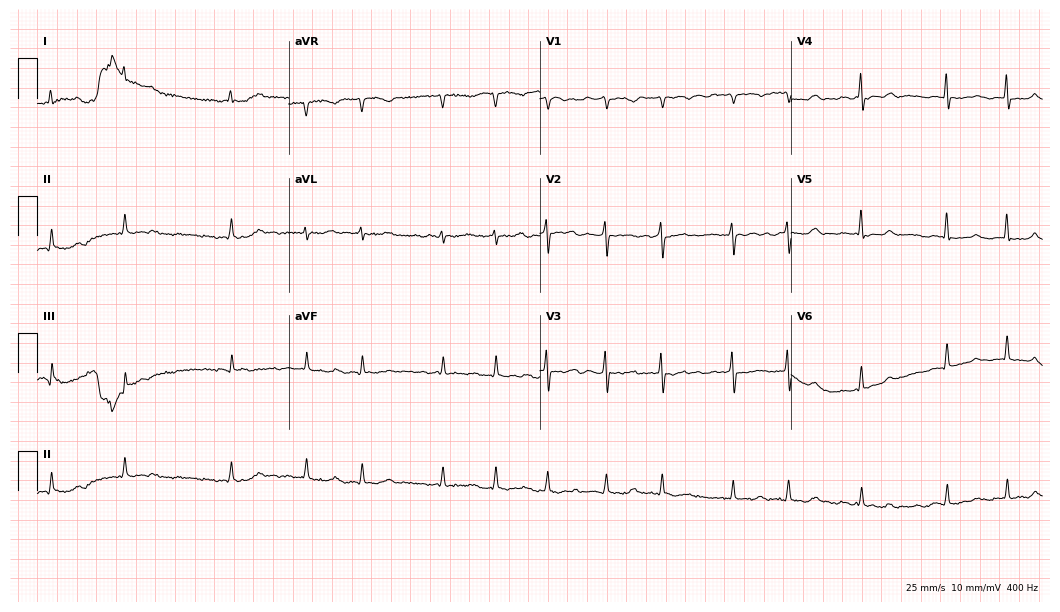
Standard 12-lead ECG recorded from an 82-year-old female patient. The tracing shows atrial fibrillation.